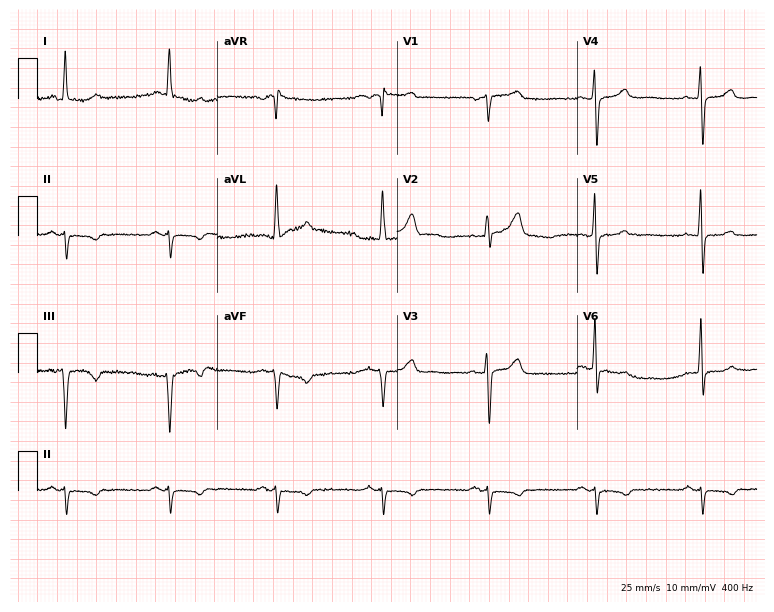
Electrocardiogram (7.3-second recording at 400 Hz), a 60-year-old male patient. Of the six screened findings (first-degree AV block, right bundle branch block (RBBB), left bundle branch block (LBBB), sinus bradycardia, atrial fibrillation (AF), sinus tachycardia), none is recorded.